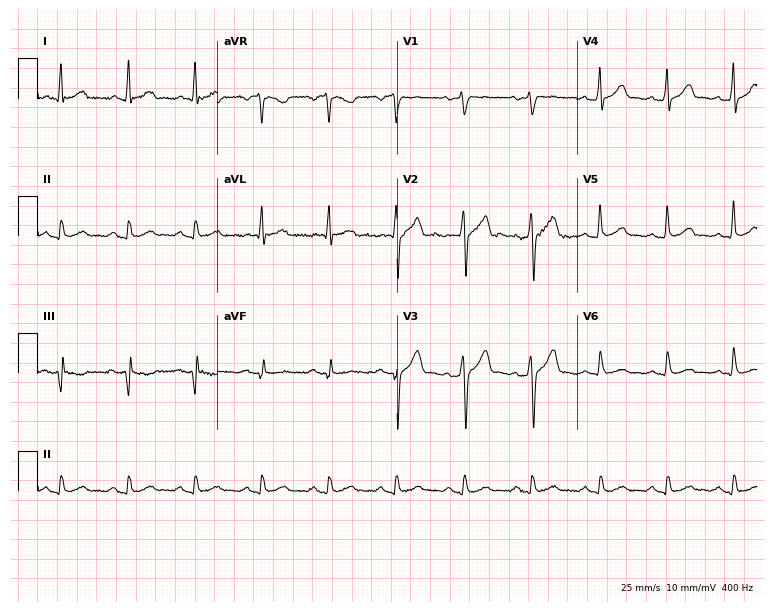
Standard 12-lead ECG recorded from a 43-year-old man (7.3-second recording at 400 Hz). Read as a normal ECG.